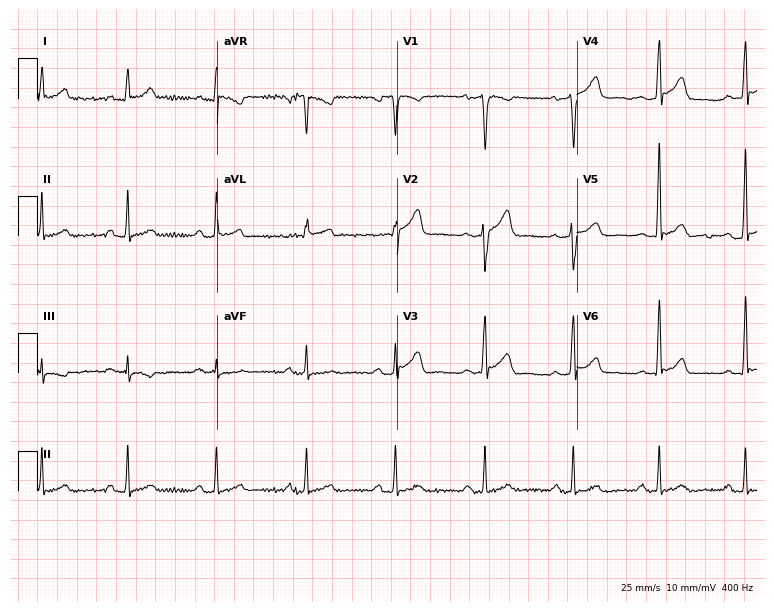
Electrocardiogram (7.3-second recording at 400 Hz), a 48-year-old female patient. Overall reading on record: normal ECG.